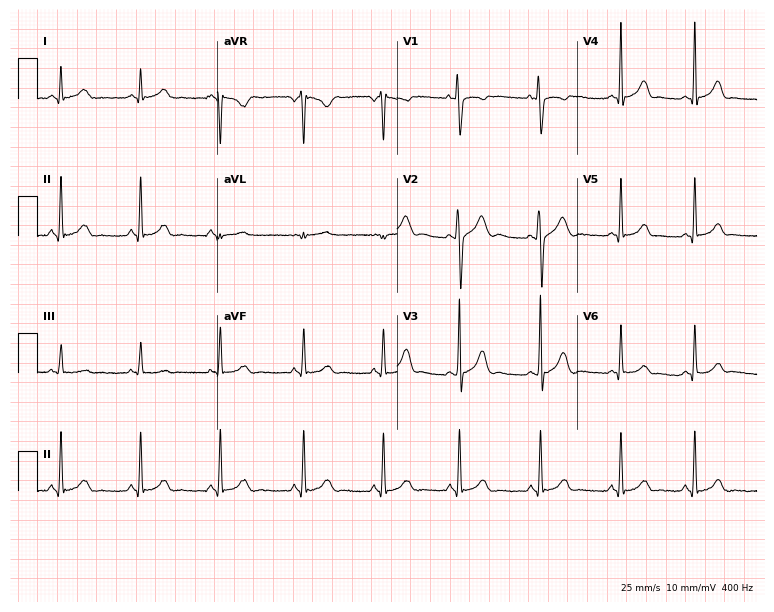
Electrocardiogram (7.3-second recording at 400 Hz), a 21-year-old woman. Of the six screened findings (first-degree AV block, right bundle branch block, left bundle branch block, sinus bradycardia, atrial fibrillation, sinus tachycardia), none is recorded.